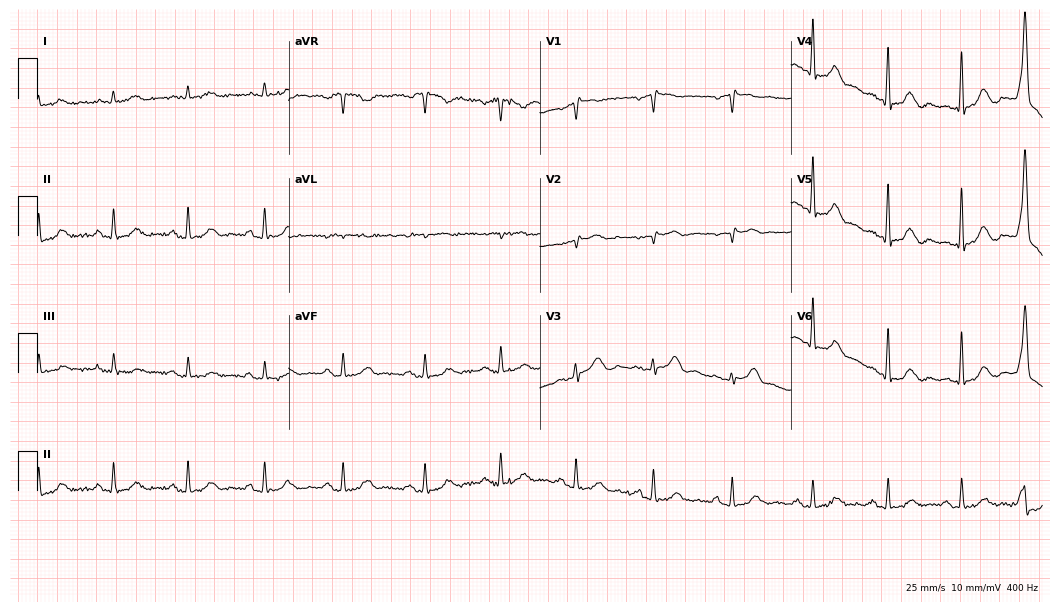
Resting 12-lead electrocardiogram (10.2-second recording at 400 Hz). Patient: a male, 55 years old. None of these six findings is recorded: first-degree AV block, right bundle branch block (RBBB), left bundle branch block (LBBB), sinus bradycardia, atrial fibrillation (AF), sinus tachycardia.